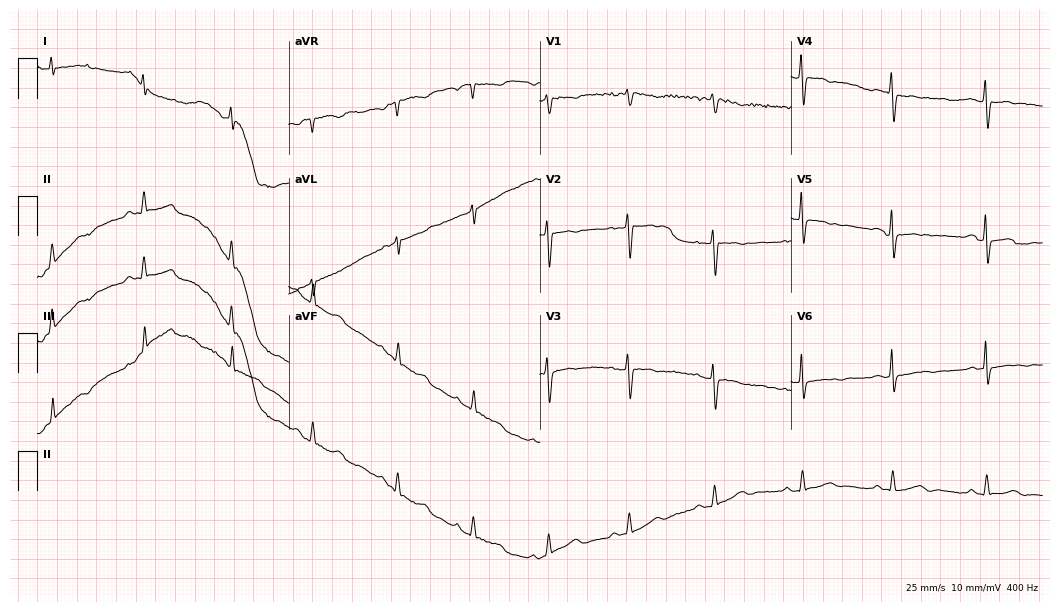
Standard 12-lead ECG recorded from a 39-year-old woman (10.2-second recording at 400 Hz). None of these six findings is recorded: first-degree AV block, right bundle branch block, left bundle branch block, sinus bradycardia, atrial fibrillation, sinus tachycardia.